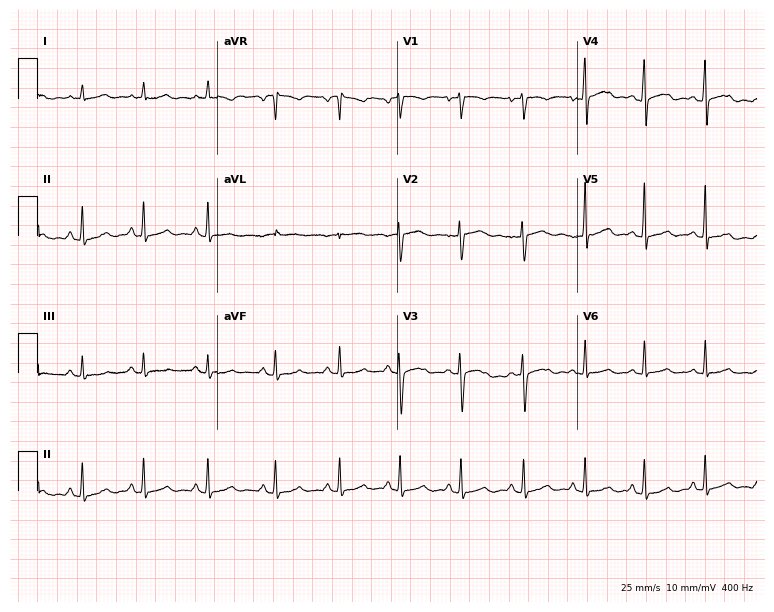
12-lead ECG (7.3-second recording at 400 Hz) from a 27-year-old woman. Screened for six findings — first-degree AV block, right bundle branch block, left bundle branch block, sinus bradycardia, atrial fibrillation, sinus tachycardia — none is recorded. Only these six findings were labelled.